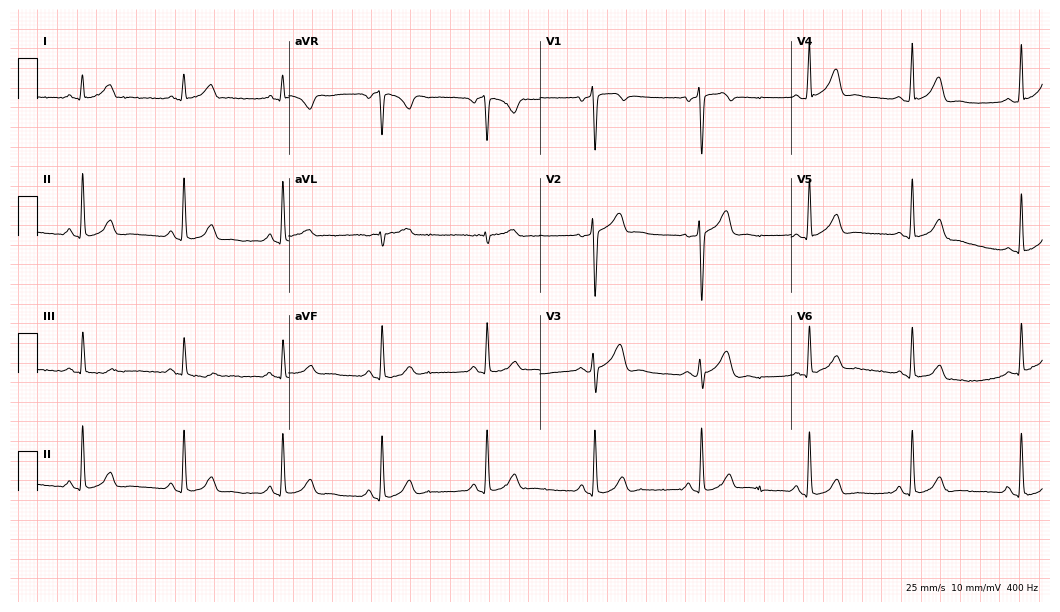
Electrocardiogram (10.2-second recording at 400 Hz), a man, 30 years old. Of the six screened findings (first-degree AV block, right bundle branch block, left bundle branch block, sinus bradycardia, atrial fibrillation, sinus tachycardia), none is recorded.